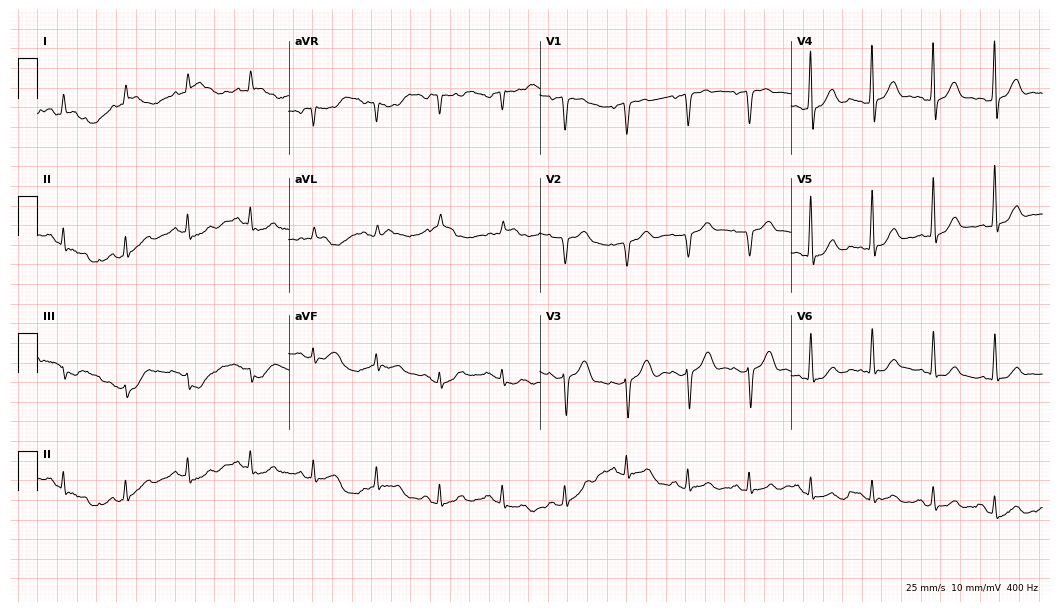
ECG — a 70-year-old male. Labelled as a normal ECG.